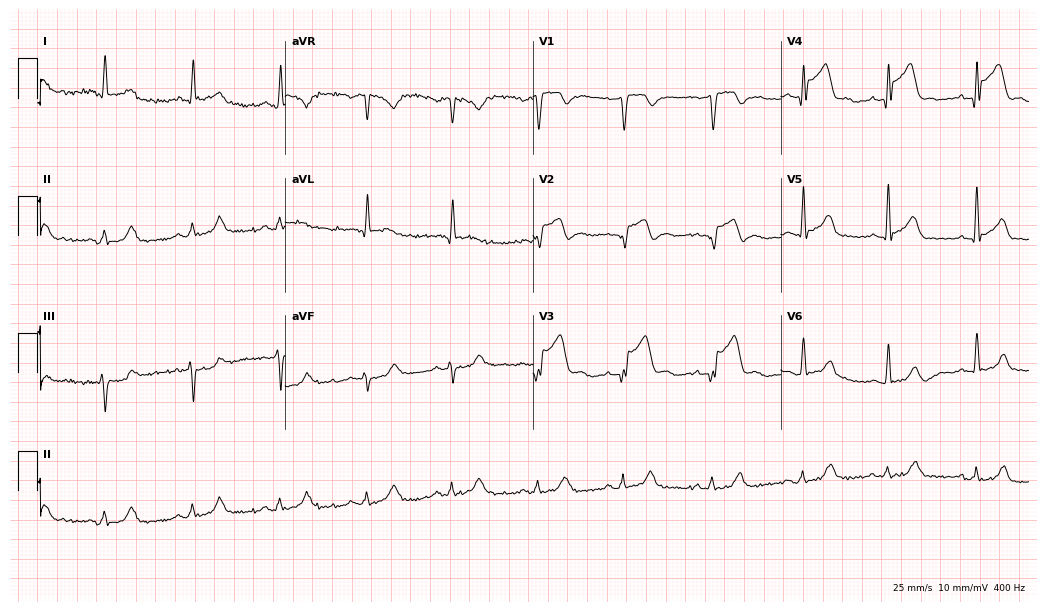
ECG — a male patient, 40 years old. Screened for six findings — first-degree AV block, right bundle branch block, left bundle branch block, sinus bradycardia, atrial fibrillation, sinus tachycardia — none is recorded.